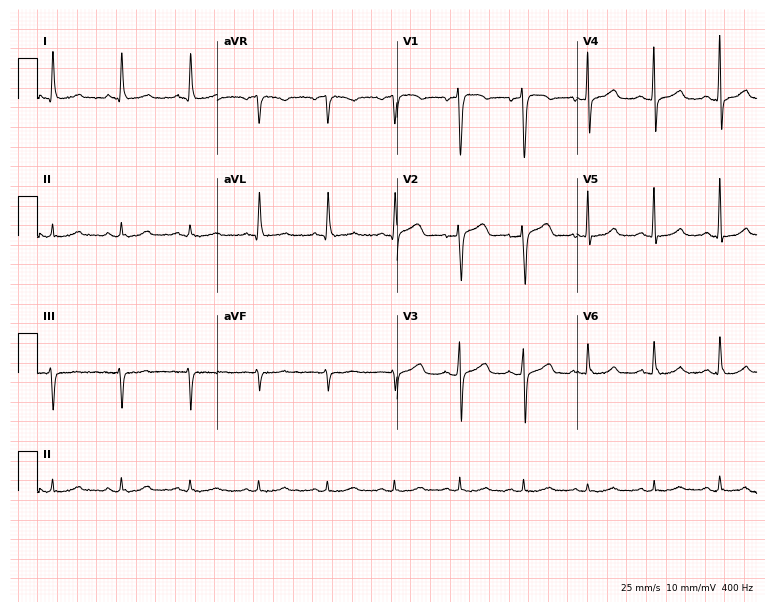
12-lead ECG (7.3-second recording at 400 Hz) from a female patient, 64 years old. Labelled as a normal ECG.